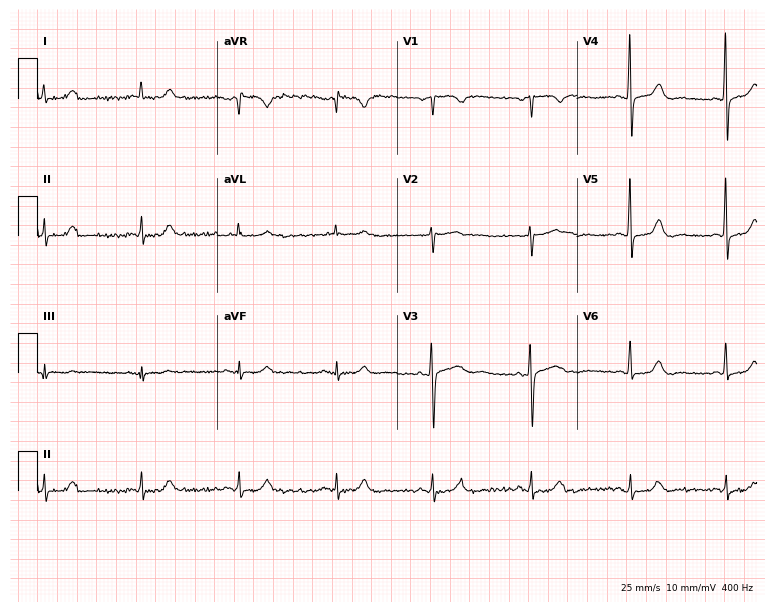
Resting 12-lead electrocardiogram. Patient: a male, 62 years old. Read as a normal ECG.